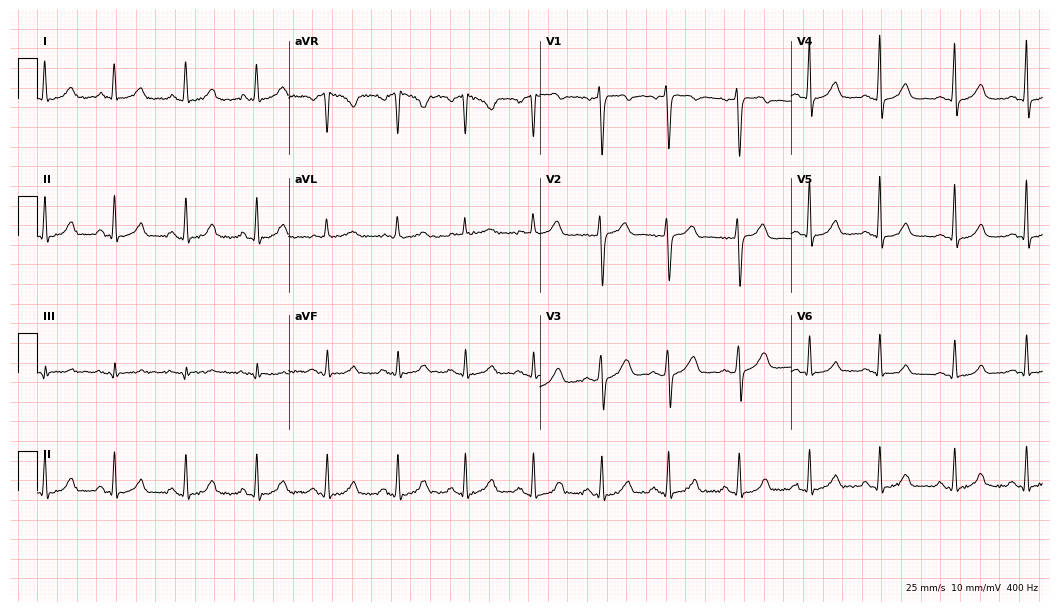
Resting 12-lead electrocardiogram. Patient: a 39-year-old female. Read as a normal ECG.